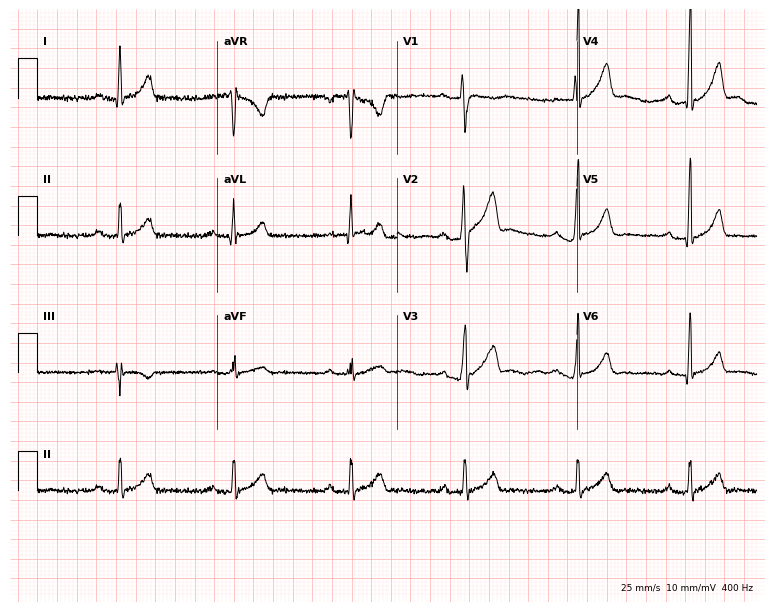
Electrocardiogram (7.3-second recording at 400 Hz), a 30-year-old male patient. Interpretation includes first-degree AV block.